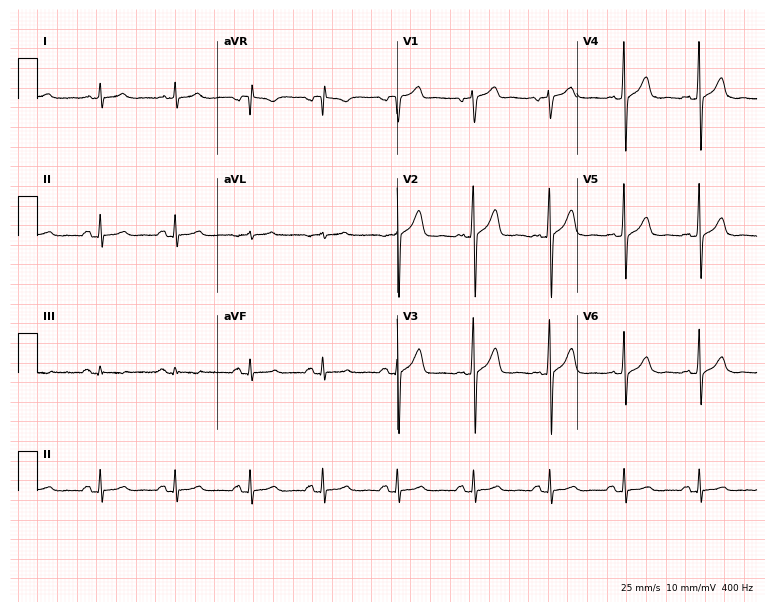
ECG — a 48-year-old male. Labelled as a normal ECG.